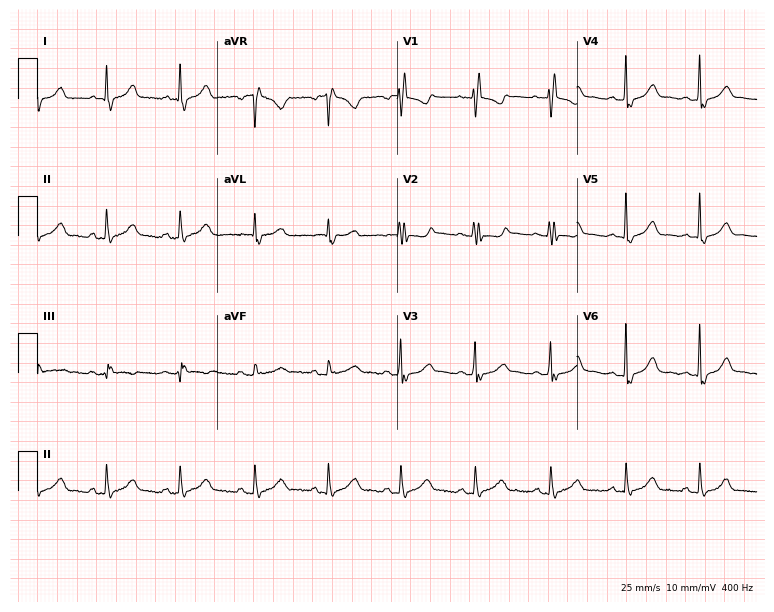
Standard 12-lead ECG recorded from a 46-year-old woman. None of these six findings is recorded: first-degree AV block, right bundle branch block, left bundle branch block, sinus bradycardia, atrial fibrillation, sinus tachycardia.